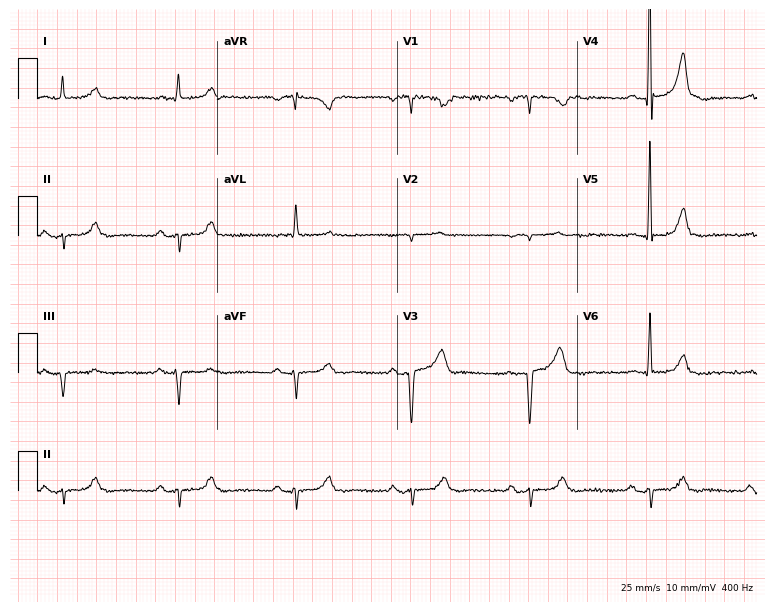
12-lead ECG (7.3-second recording at 400 Hz) from a 69-year-old male patient. Screened for six findings — first-degree AV block, right bundle branch block, left bundle branch block, sinus bradycardia, atrial fibrillation, sinus tachycardia — none is recorded.